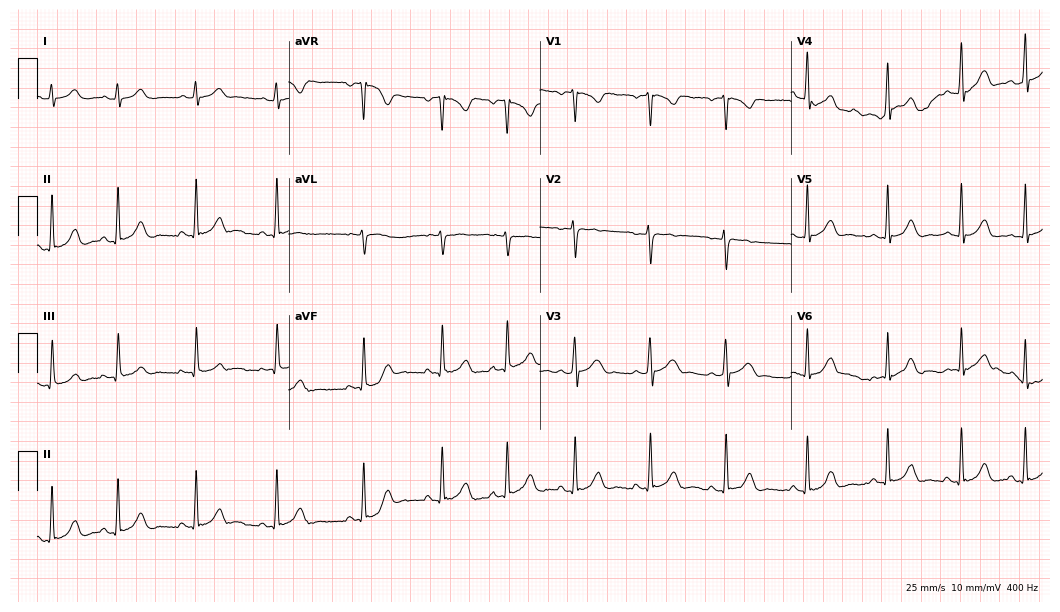
12-lead ECG from a 21-year-old woman. Screened for six findings — first-degree AV block, right bundle branch block (RBBB), left bundle branch block (LBBB), sinus bradycardia, atrial fibrillation (AF), sinus tachycardia — none is recorded. Findings outside these six are not listed.